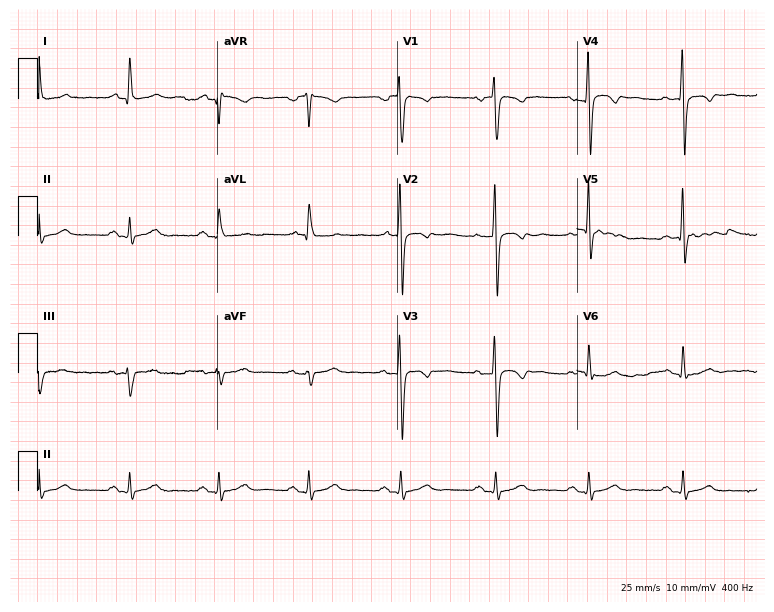
Standard 12-lead ECG recorded from a male patient, 53 years old. None of these six findings is recorded: first-degree AV block, right bundle branch block, left bundle branch block, sinus bradycardia, atrial fibrillation, sinus tachycardia. Only these six findings were labelled.